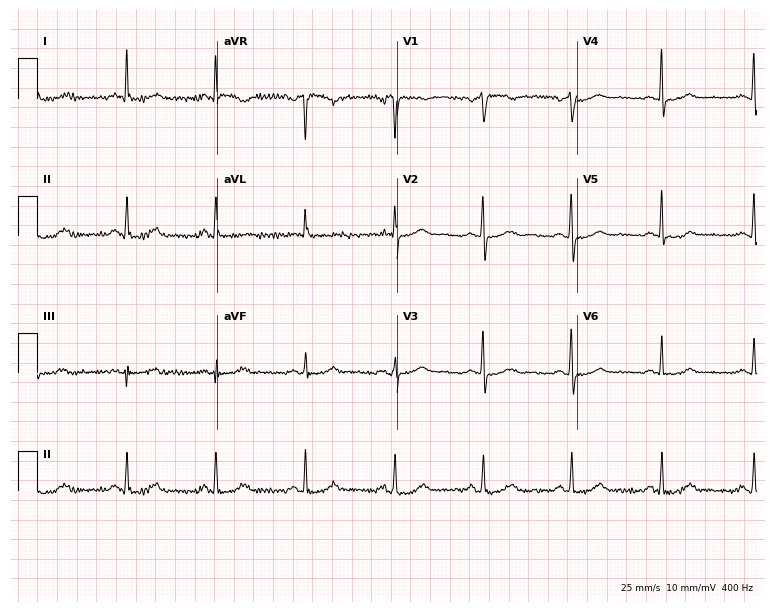
12-lead ECG (7.3-second recording at 400 Hz) from a 58-year-old woman. Labelled as a normal ECG.